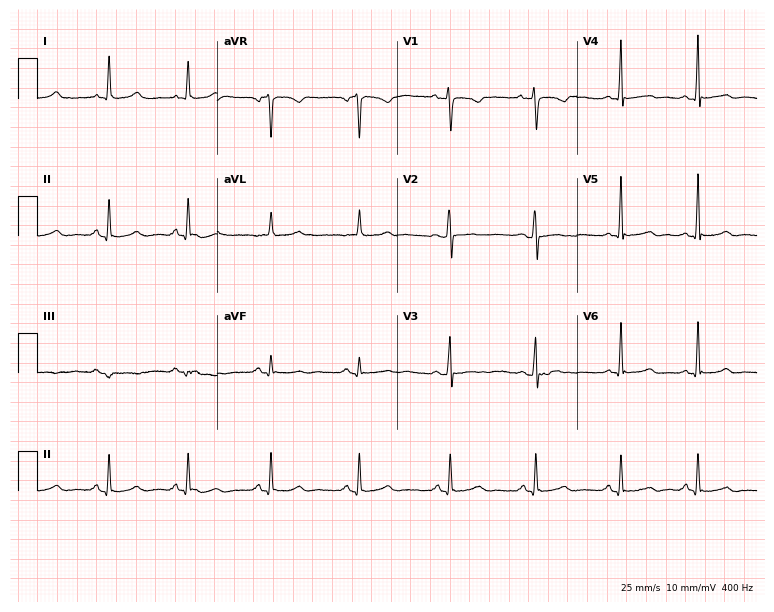
Resting 12-lead electrocardiogram (7.3-second recording at 400 Hz). Patient: a 30-year-old female. None of these six findings is recorded: first-degree AV block, right bundle branch block (RBBB), left bundle branch block (LBBB), sinus bradycardia, atrial fibrillation (AF), sinus tachycardia.